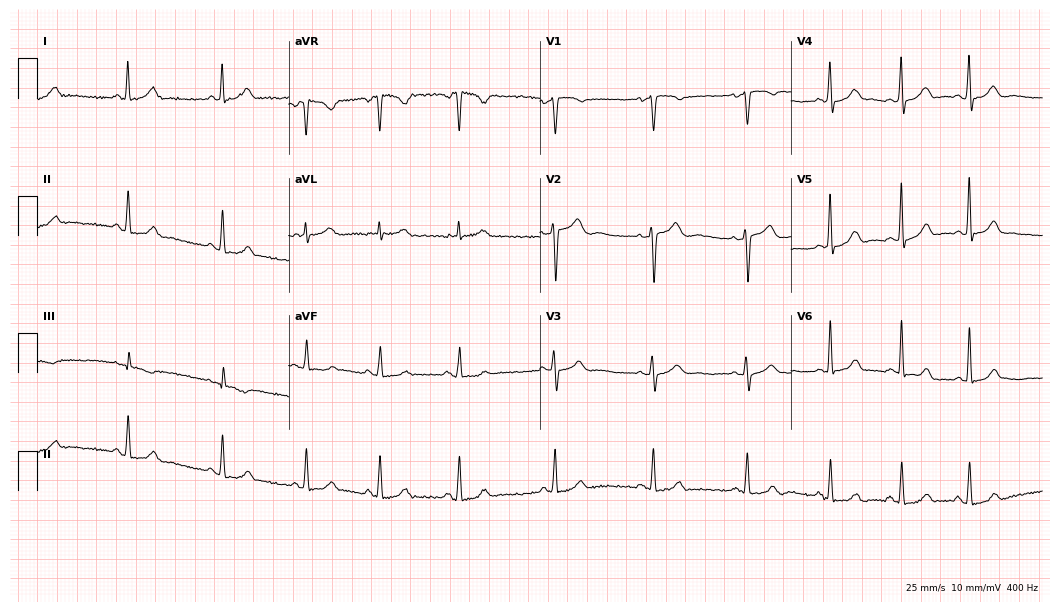
Electrocardiogram, a 37-year-old female. Overall reading on record: normal ECG.